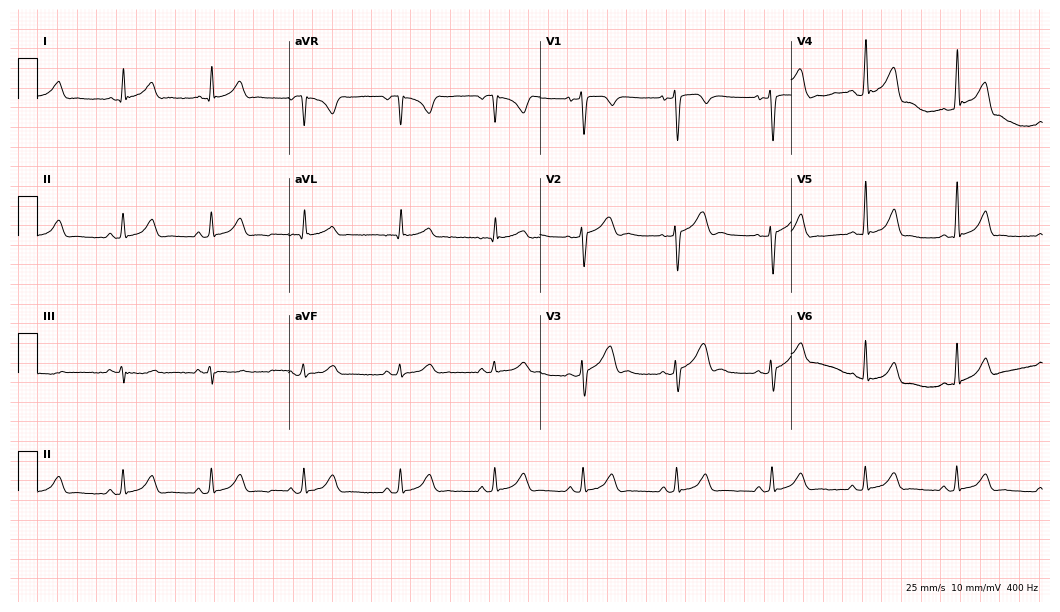
ECG — a 20-year-old male. Screened for six findings — first-degree AV block, right bundle branch block, left bundle branch block, sinus bradycardia, atrial fibrillation, sinus tachycardia — none is recorded. Findings outside these six are not listed.